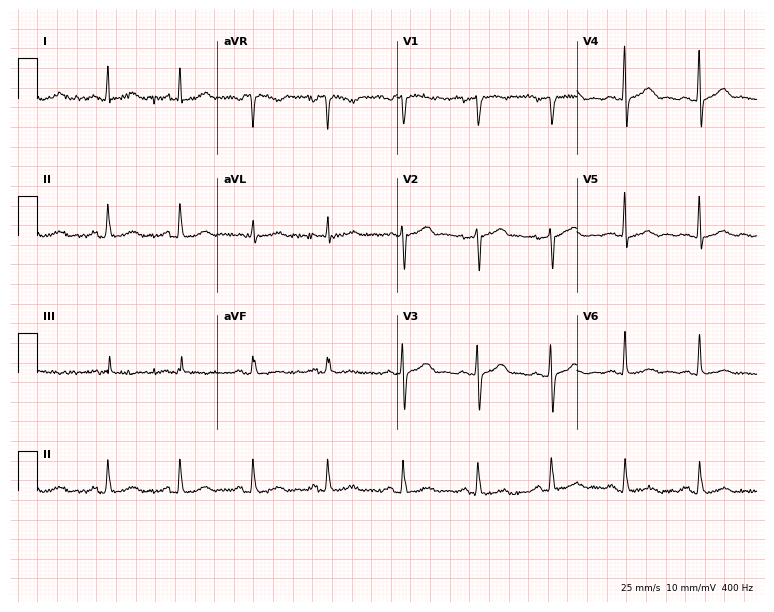
ECG — a 47-year-old male. Labelled as a normal ECG.